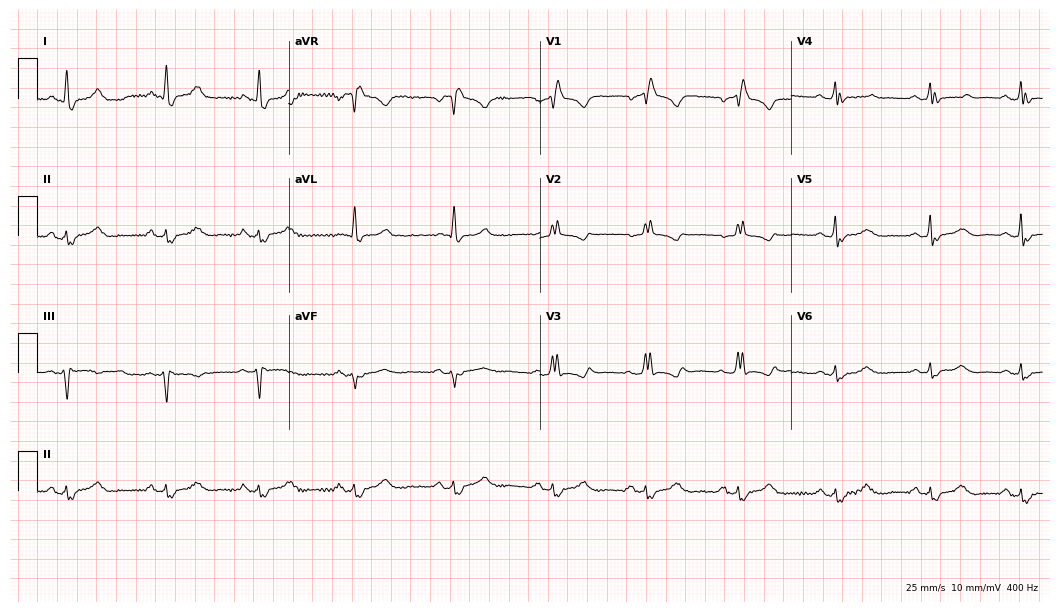
12-lead ECG (10.2-second recording at 400 Hz) from a 60-year-old woman. Findings include right bundle branch block.